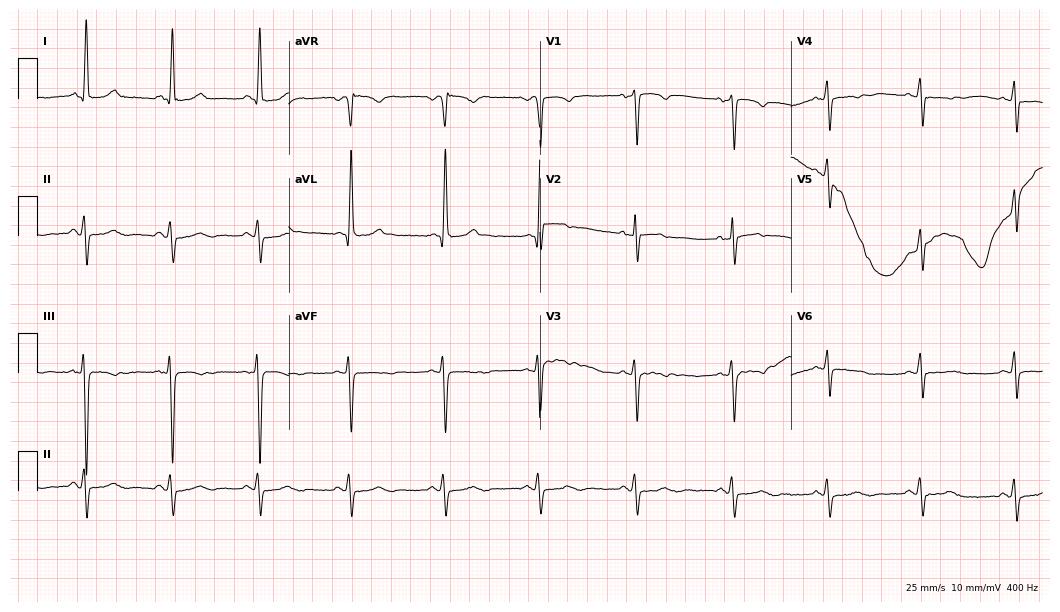
12-lead ECG (10.2-second recording at 400 Hz) from a female, 64 years old. Screened for six findings — first-degree AV block, right bundle branch block, left bundle branch block, sinus bradycardia, atrial fibrillation, sinus tachycardia — none is recorded.